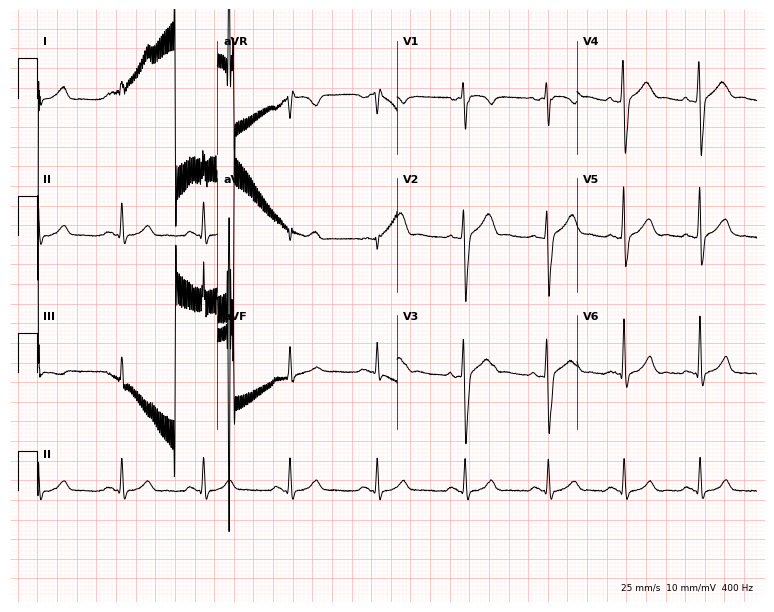
ECG (7.3-second recording at 400 Hz) — a 24-year-old male. Screened for six findings — first-degree AV block, right bundle branch block, left bundle branch block, sinus bradycardia, atrial fibrillation, sinus tachycardia — none is recorded.